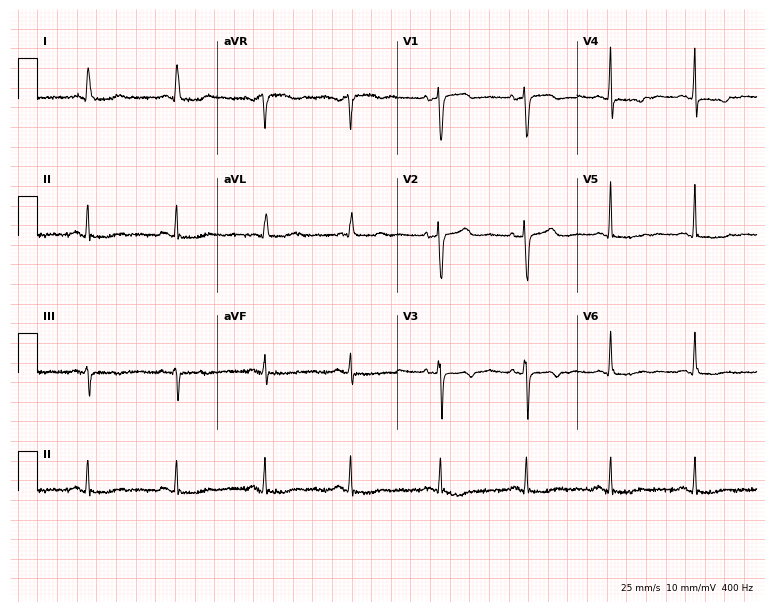
Electrocardiogram, a 74-year-old female. Of the six screened findings (first-degree AV block, right bundle branch block (RBBB), left bundle branch block (LBBB), sinus bradycardia, atrial fibrillation (AF), sinus tachycardia), none is recorded.